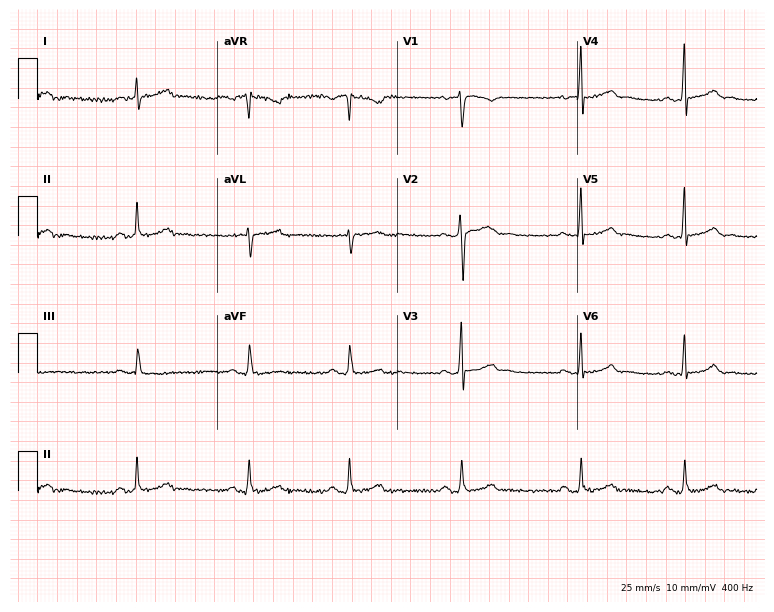
Resting 12-lead electrocardiogram (7.3-second recording at 400 Hz). Patient: a male, 24 years old. None of these six findings is recorded: first-degree AV block, right bundle branch block, left bundle branch block, sinus bradycardia, atrial fibrillation, sinus tachycardia.